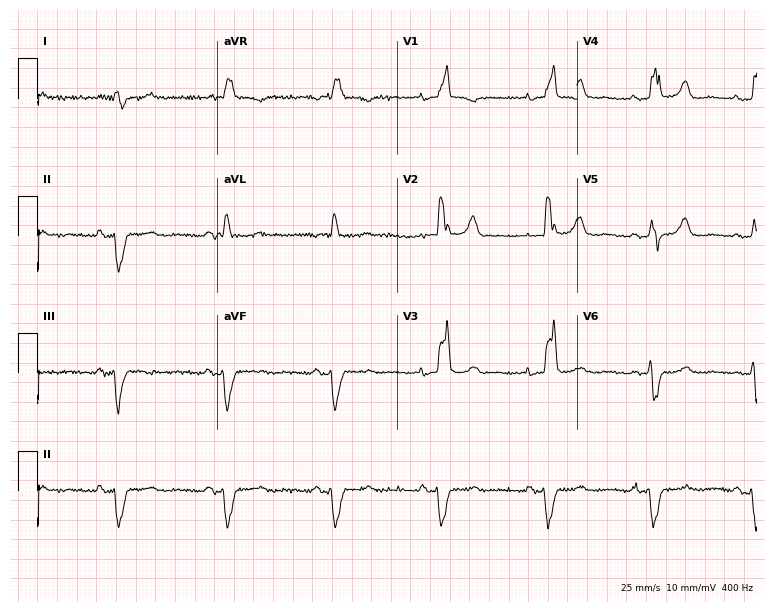
Standard 12-lead ECG recorded from a woman, 78 years old (7.3-second recording at 400 Hz). None of these six findings is recorded: first-degree AV block, right bundle branch block, left bundle branch block, sinus bradycardia, atrial fibrillation, sinus tachycardia.